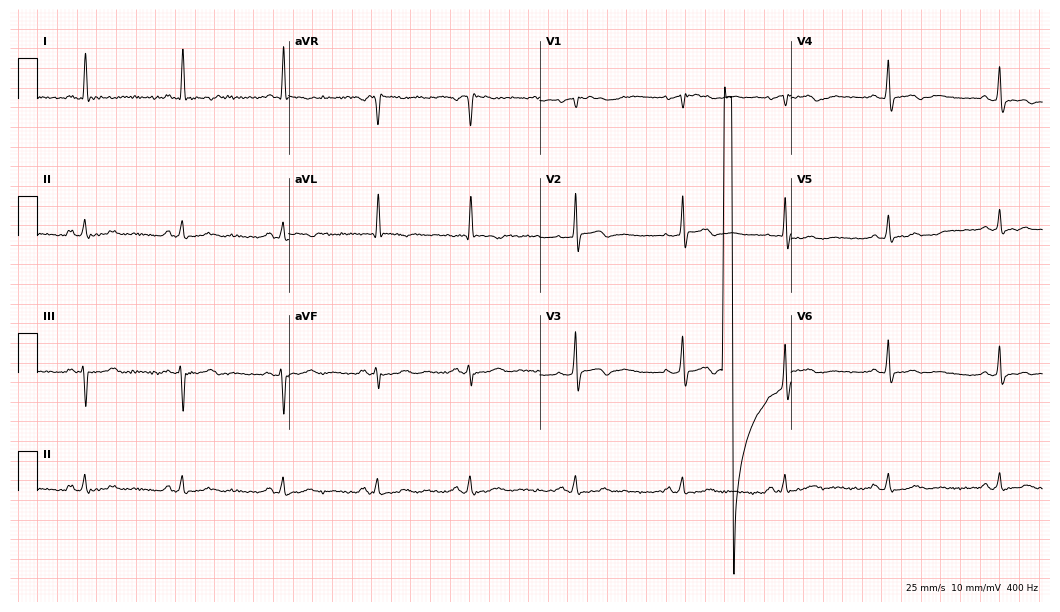
12-lead ECG (10.2-second recording at 400 Hz) from a 68-year-old female. Screened for six findings — first-degree AV block, right bundle branch block, left bundle branch block, sinus bradycardia, atrial fibrillation, sinus tachycardia — none is recorded.